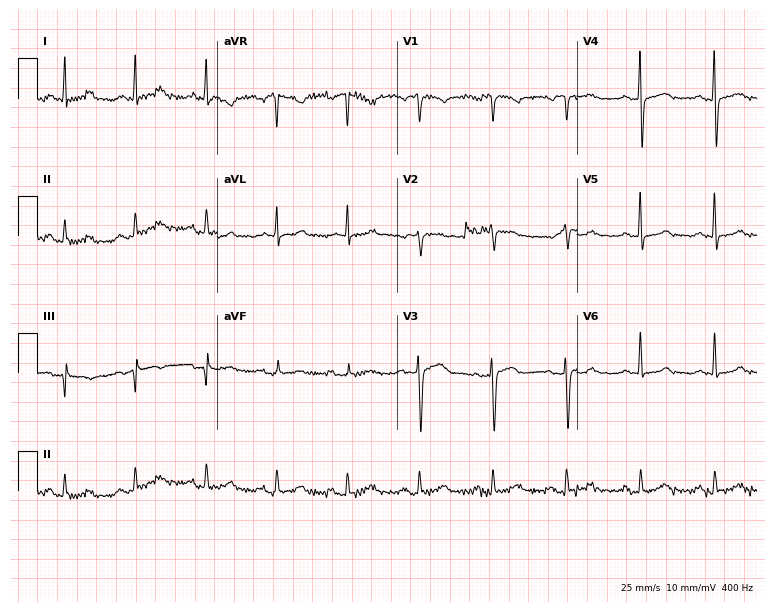
Resting 12-lead electrocardiogram (7.3-second recording at 400 Hz). Patient: a 65-year-old female. Read as a normal ECG.